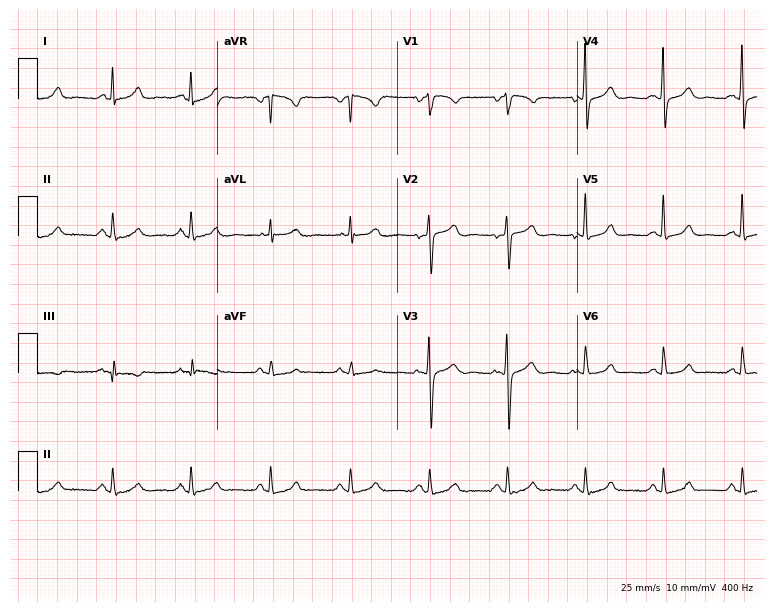
Resting 12-lead electrocardiogram (7.3-second recording at 400 Hz). Patient: a female, 46 years old. None of these six findings is recorded: first-degree AV block, right bundle branch block, left bundle branch block, sinus bradycardia, atrial fibrillation, sinus tachycardia. Other findings, if any, are not listed.